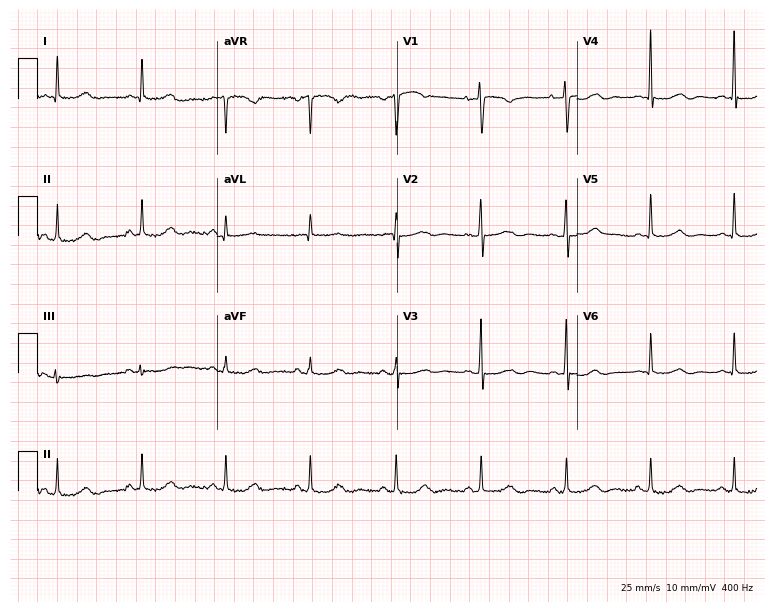
12-lead ECG from a woman, 73 years old. Labelled as a normal ECG.